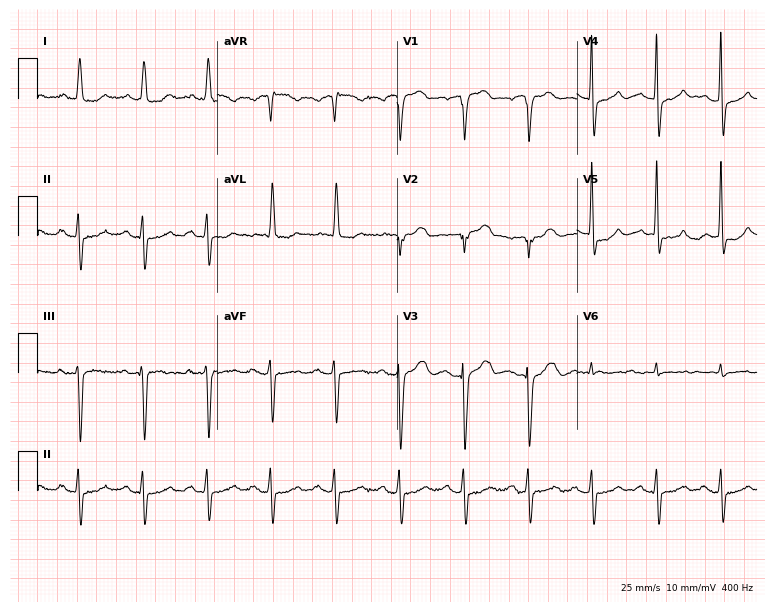
Electrocardiogram (7.3-second recording at 400 Hz), a 77-year-old female. Of the six screened findings (first-degree AV block, right bundle branch block, left bundle branch block, sinus bradycardia, atrial fibrillation, sinus tachycardia), none is recorded.